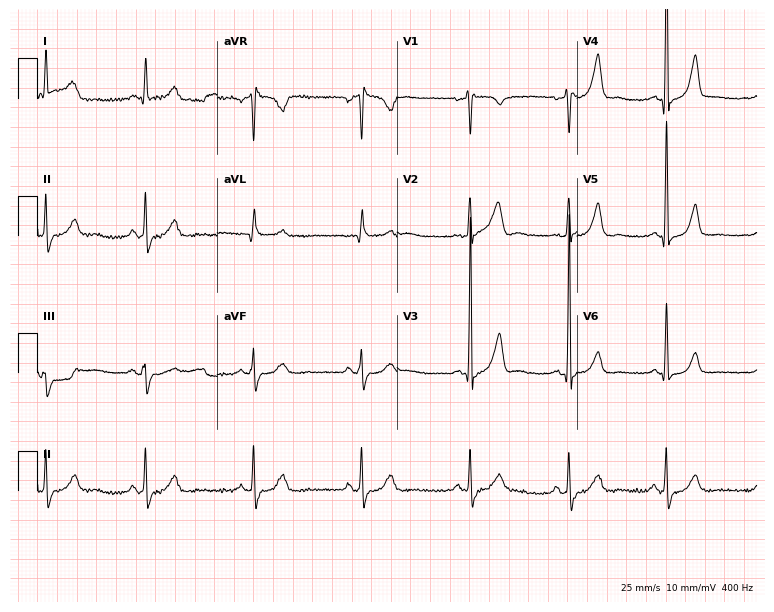
12-lead ECG (7.3-second recording at 400 Hz) from a 55-year-old male patient. Screened for six findings — first-degree AV block, right bundle branch block, left bundle branch block, sinus bradycardia, atrial fibrillation, sinus tachycardia — none is recorded. Findings outside these six are not listed.